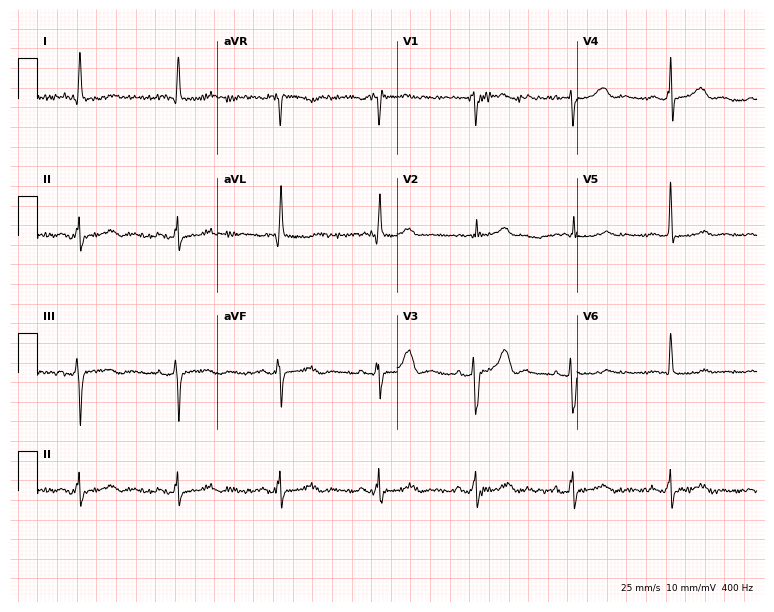
12-lead ECG from a 71-year-old female patient (7.3-second recording at 400 Hz). No first-degree AV block, right bundle branch block, left bundle branch block, sinus bradycardia, atrial fibrillation or sinus tachycardia recorded for this tracing.